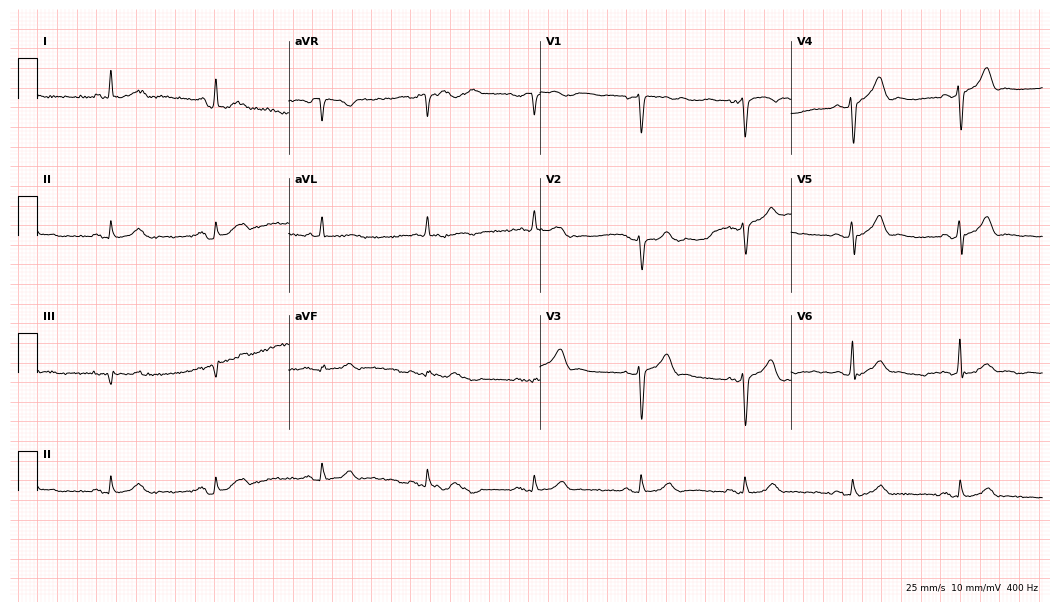
Resting 12-lead electrocardiogram. Patient: a male, 77 years old. Read as a normal ECG.